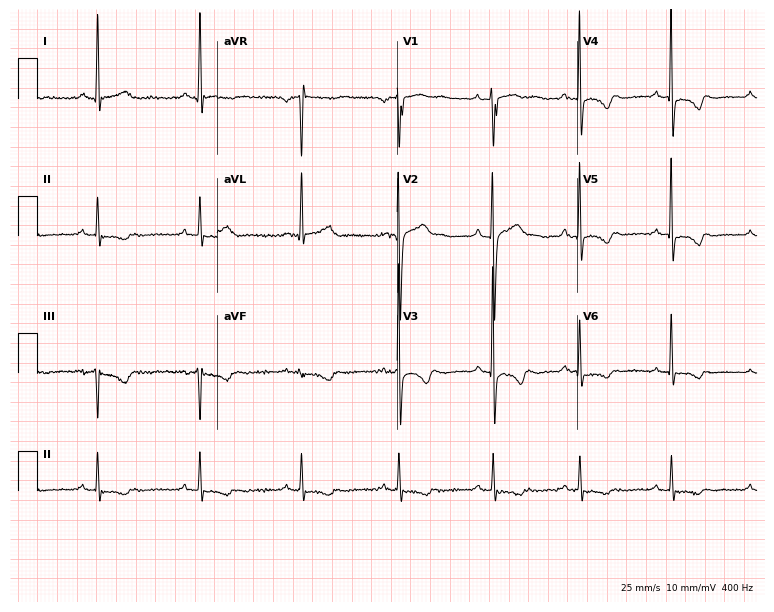
ECG (7.3-second recording at 400 Hz) — a 37-year-old male. Screened for six findings — first-degree AV block, right bundle branch block, left bundle branch block, sinus bradycardia, atrial fibrillation, sinus tachycardia — none is recorded.